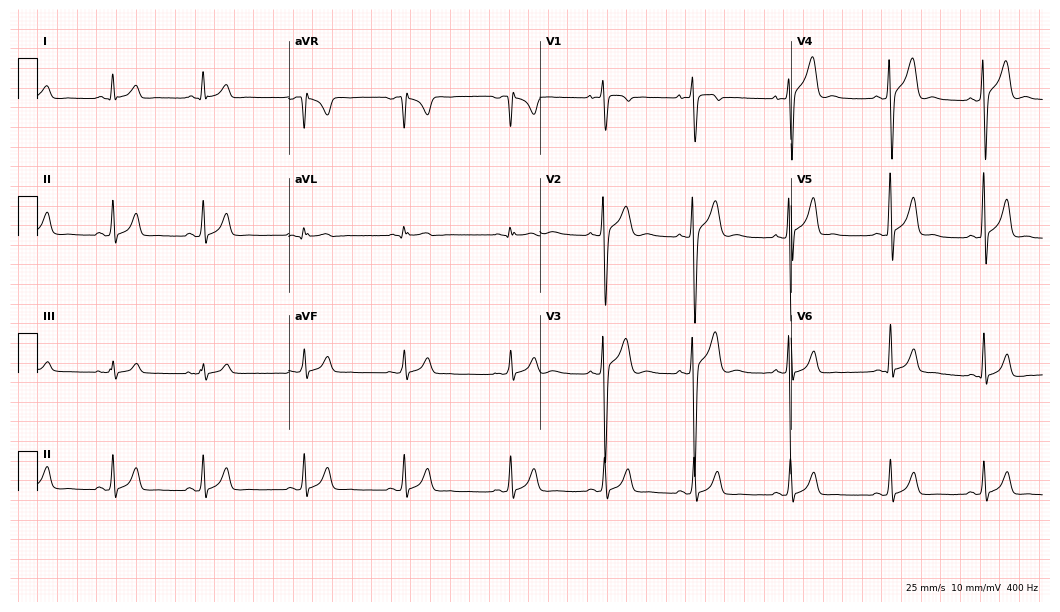
12-lead ECG from a 19-year-old male (10.2-second recording at 400 Hz). Recorded interpretation: within normal limits.